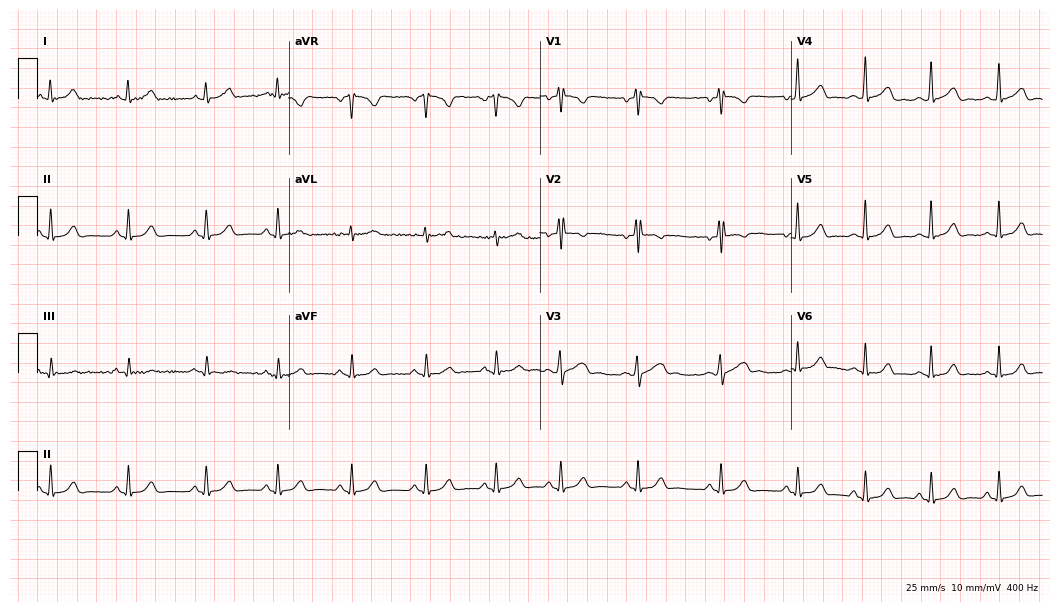
ECG — a 19-year-old female patient. Screened for six findings — first-degree AV block, right bundle branch block (RBBB), left bundle branch block (LBBB), sinus bradycardia, atrial fibrillation (AF), sinus tachycardia — none is recorded. Findings outside these six are not listed.